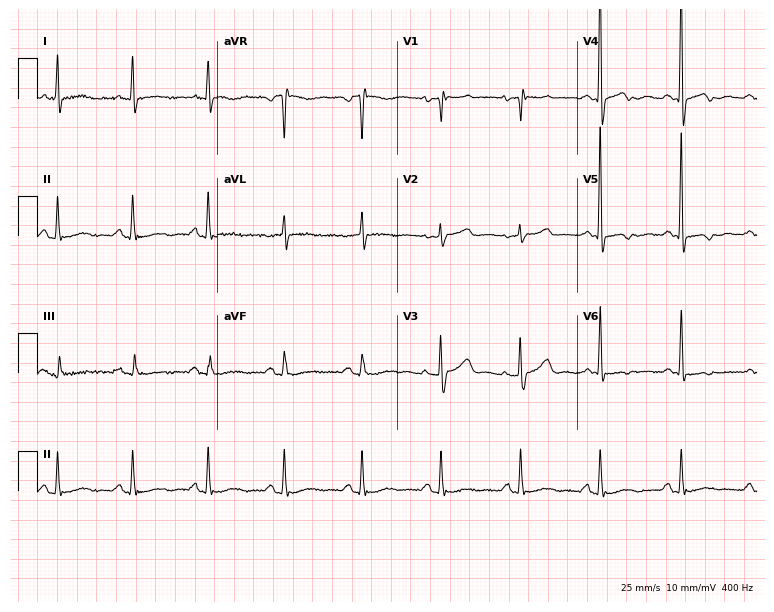
Resting 12-lead electrocardiogram. Patient: a 79-year-old female. None of these six findings is recorded: first-degree AV block, right bundle branch block, left bundle branch block, sinus bradycardia, atrial fibrillation, sinus tachycardia.